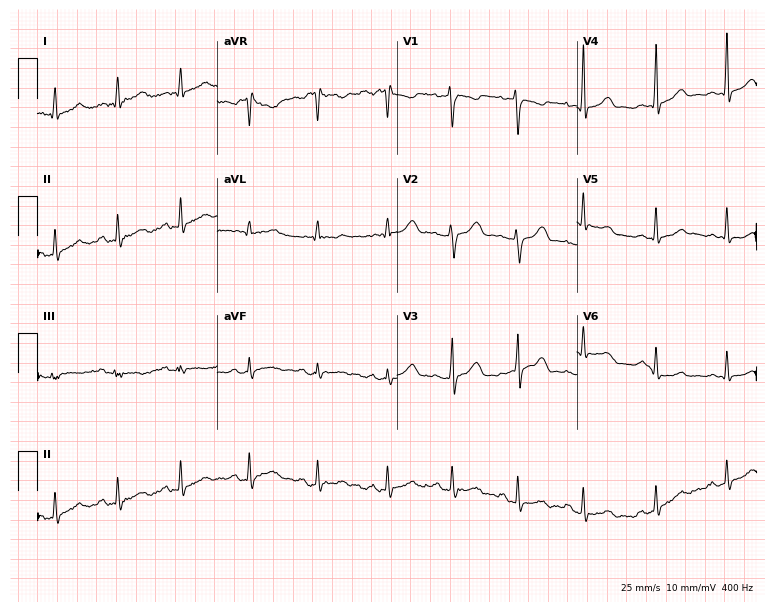
Resting 12-lead electrocardiogram. Patient: a female, 24 years old. None of these six findings is recorded: first-degree AV block, right bundle branch block, left bundle branch block, sinus bradycardia, atrial fibrillation, sinus tachycardia.